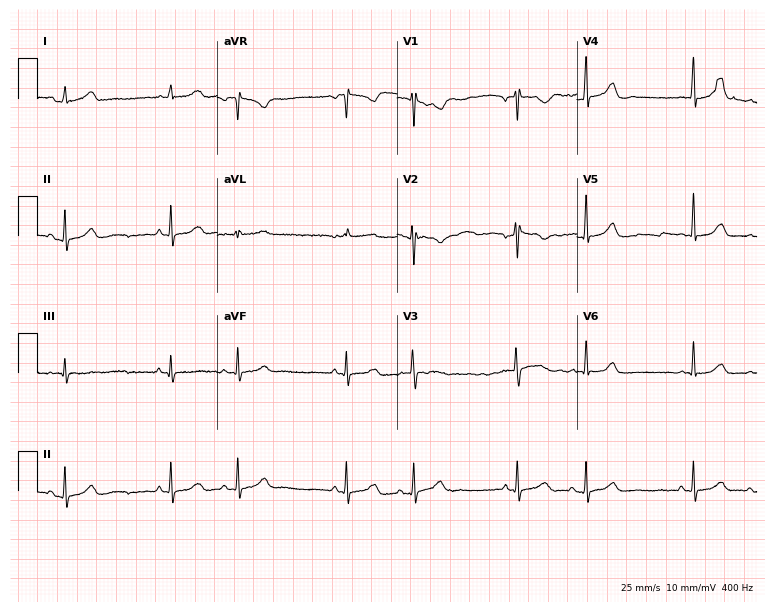
ECG — a female patient, 34 years old. Screened for six findings — first-degree AV block, right bundle branch block (RBBB), left bundle branch block (LBBB), sinus bradycardia, atrial fibrillation (AF), sinus tachycardia — none is recorded.